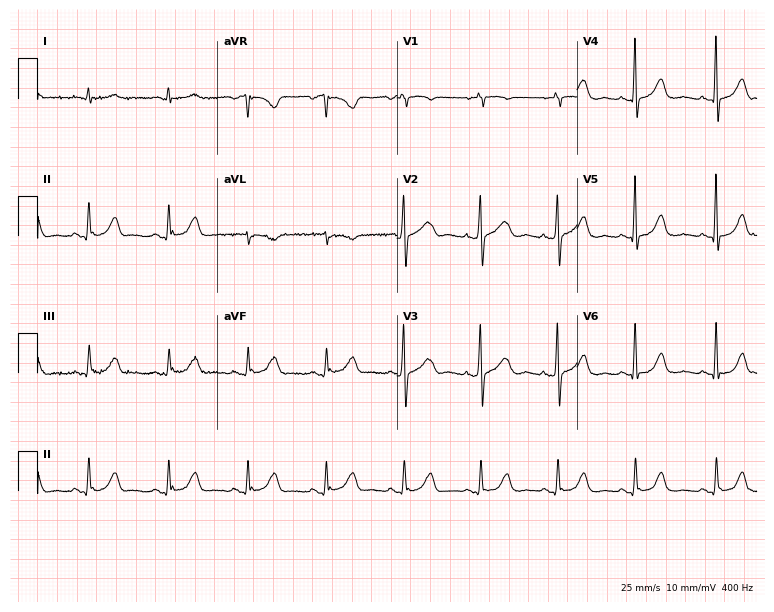
Resting 12-lead electrocardiogram (7.3-second recording at 400 Hz). Patient: a 75-year-old female. None of these six findings is recorded: first-degree AV block, right bundle branch block, left bundle branch block, sinus bradycardia, atrial fibrillation, sinus tachycardia.